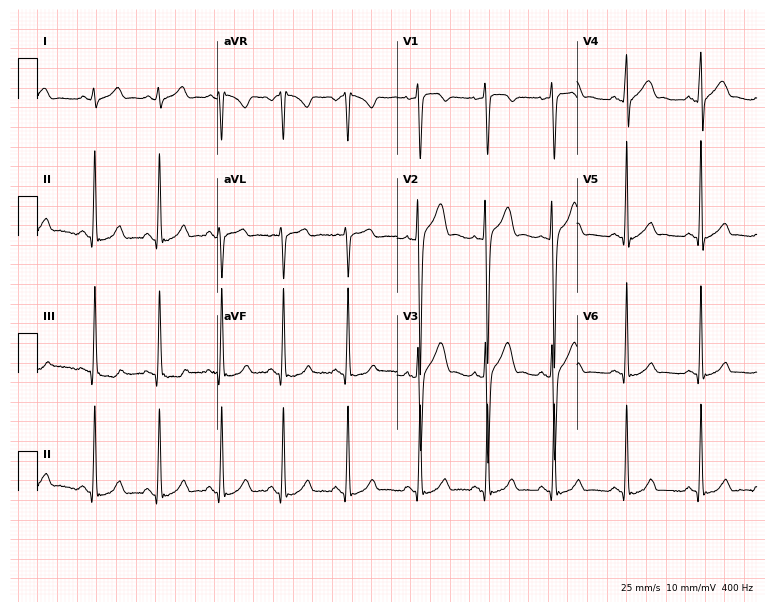
Electrocardiogram, a 17-year-old male. Overall reading on record: normal ECG.